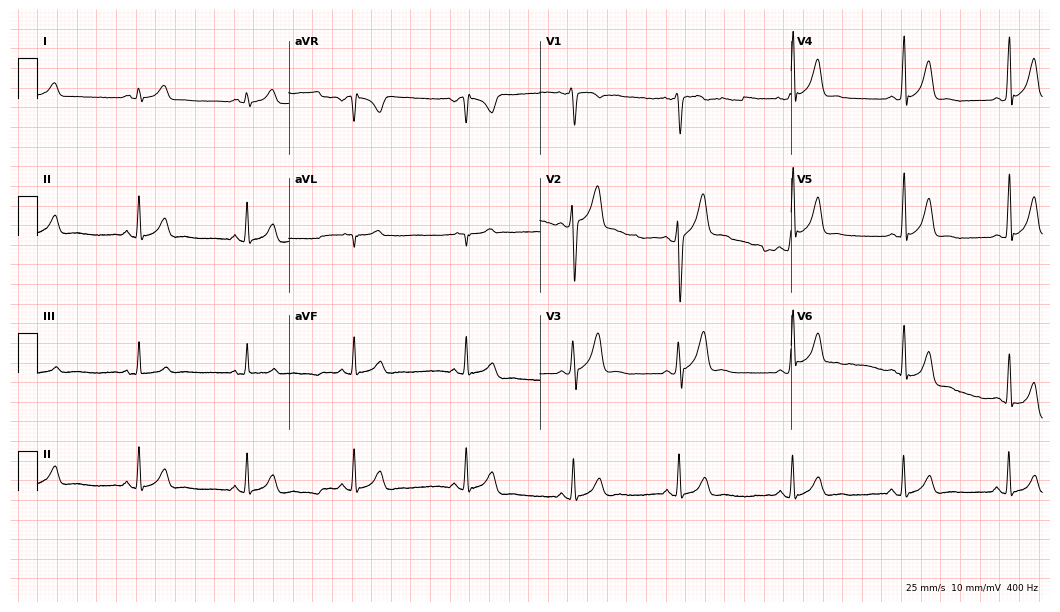
Standard 12-lead ECG recorded from a 21-year-old male (10.2-second recording at 400 Hz). None of these six findings is recorded: first-degree AV block, right bundle branch block (RBBB), left bundle branch block (LBBB), sinus bradycardia, atrial fibrillation (AF), sinus tachycardia. Findings outside these six are not listed.